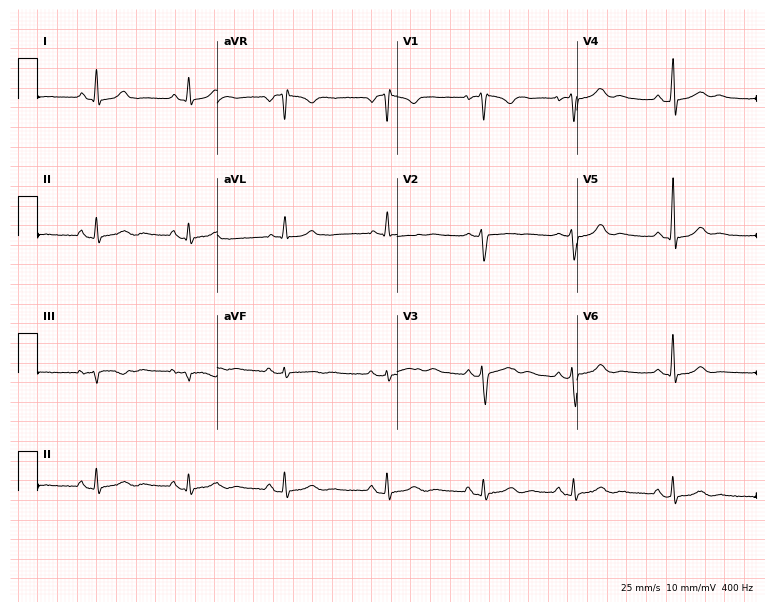
Electrocardiogram (7.3-second recording at 400 Hz), a 27-year-old female. Of the six screened findings (first-degree AV block, right bundle branch block, left bundle branch block, sinus bradycardia, atrial fibrillation, sinus tachycardia), none is recorded.